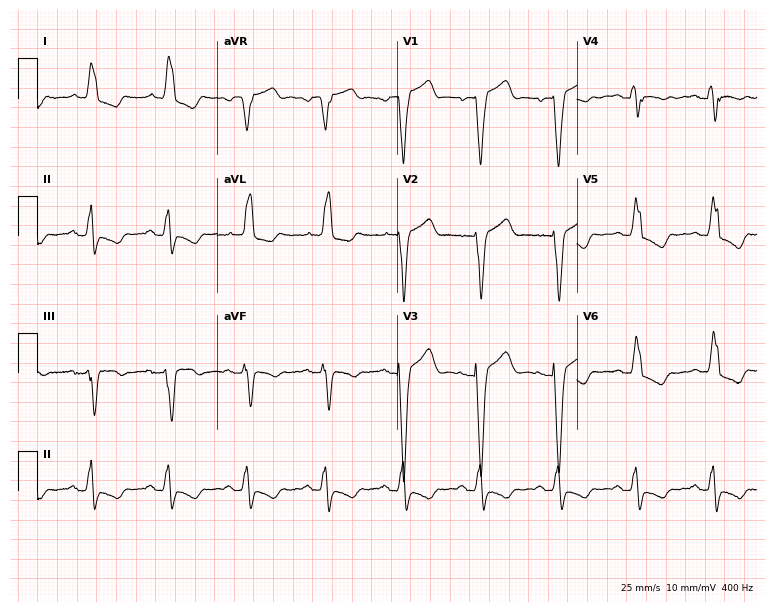
Electrocardiogram (7.3-second recording at 400 Hz), a female, 81 years old. Interpretation includes left bundle branch block (LBBB).